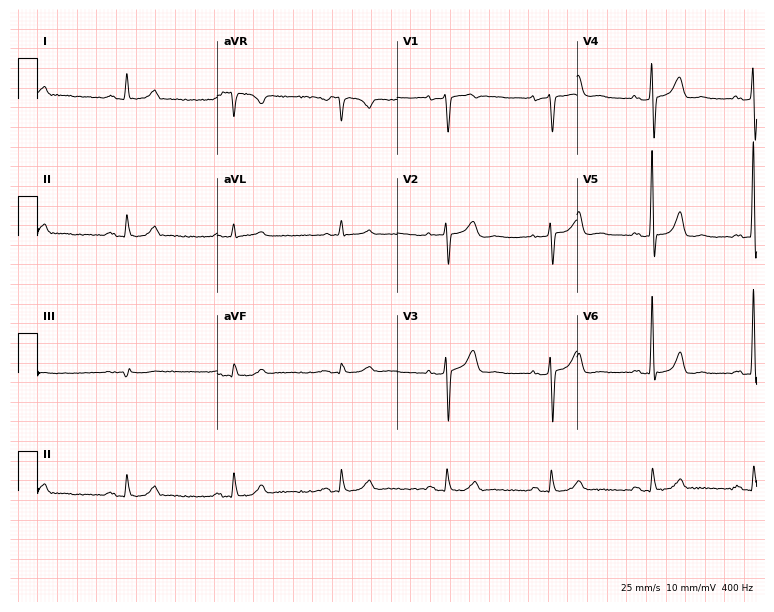
Electrocardiogram, a female patient, 77 years old. Of the six screened findings (first-degree AV block, right bundle branch block, left bundle branch block, sinus bradycardia, atrial fibrillation, sinus tachycardia), none is recorded. Other findings, if any, are not listed.